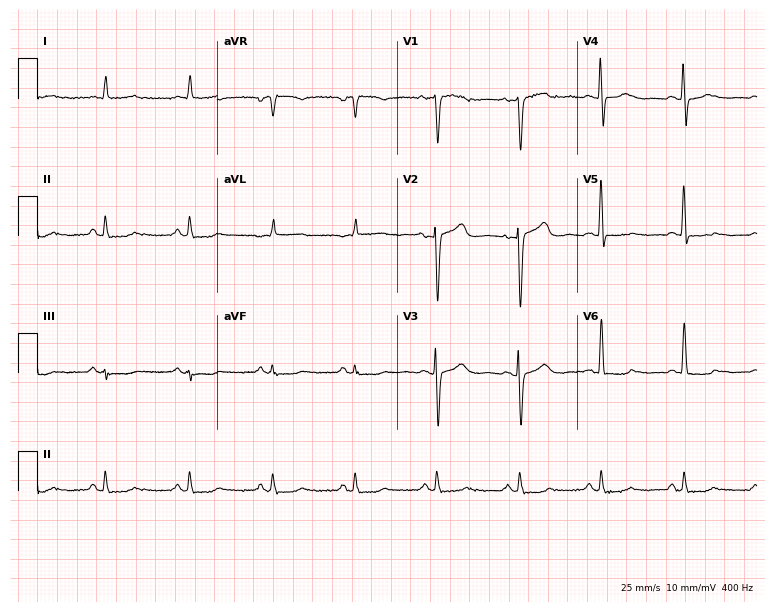
ECG — a 79-year-old male. Labelled as a normal ECG.